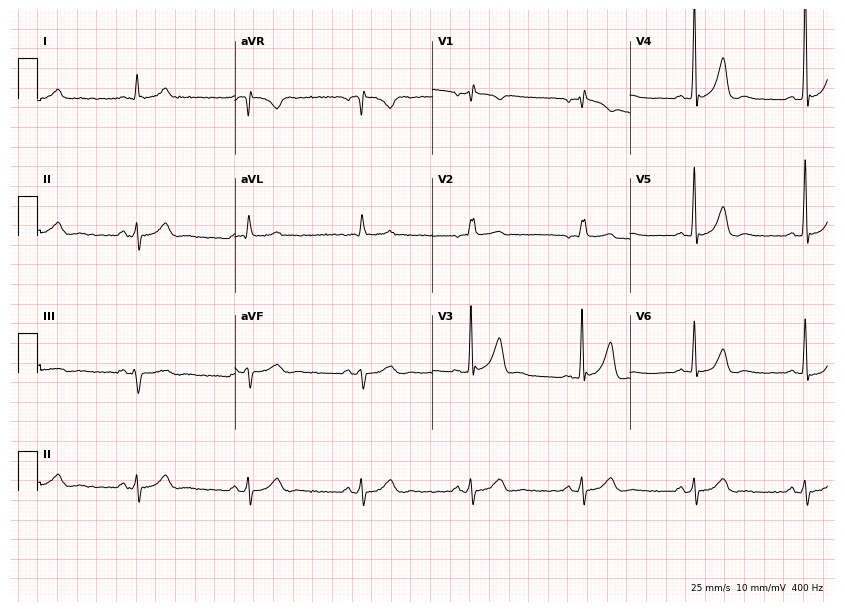
12-lead ECG from a 74-year-old male. Screened for six findings — first-degree AV block, right bundle branch block, left bundle branch block, sinus bradycardia, atrial fibrillation, sinus tachycardia — none is recorded.